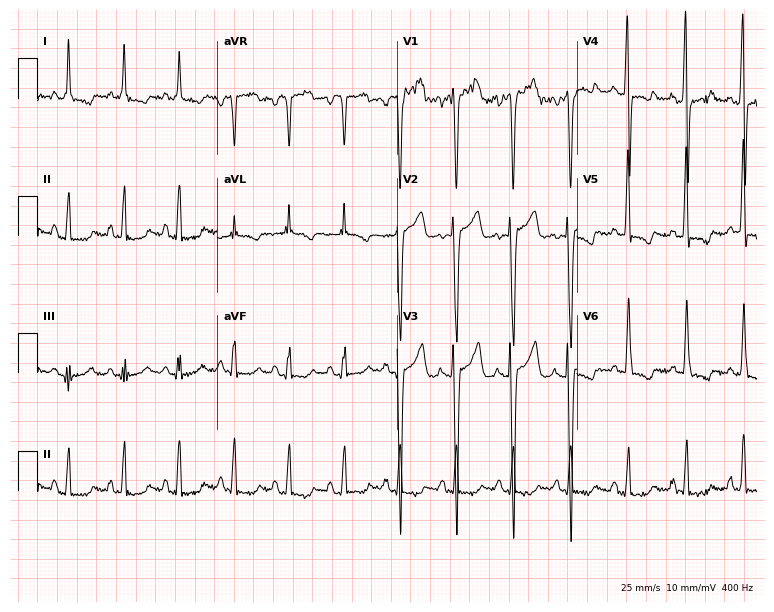
Electrocardiogram (7.3-second recording at 400 Hz), a male, 41 years old. Interpretation includes sinus tachycardia (a sinus rate of 100 beats per minute or more).